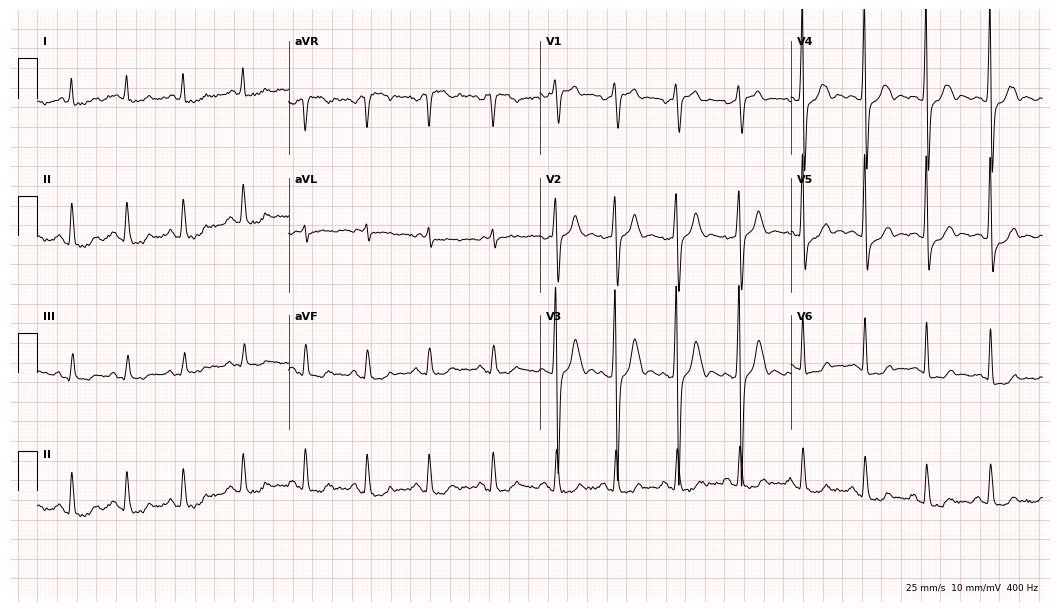
ECG (10.2-second recording at 400 Hz) — a 51-year-old woman. Screened for six findings — first-degree AV block, right bundle branch block, left bundle branch block, sinus bradycardia, atrial fibrillation, sinus tachycardia — none is recorded. Other findings, if any, are not listed.